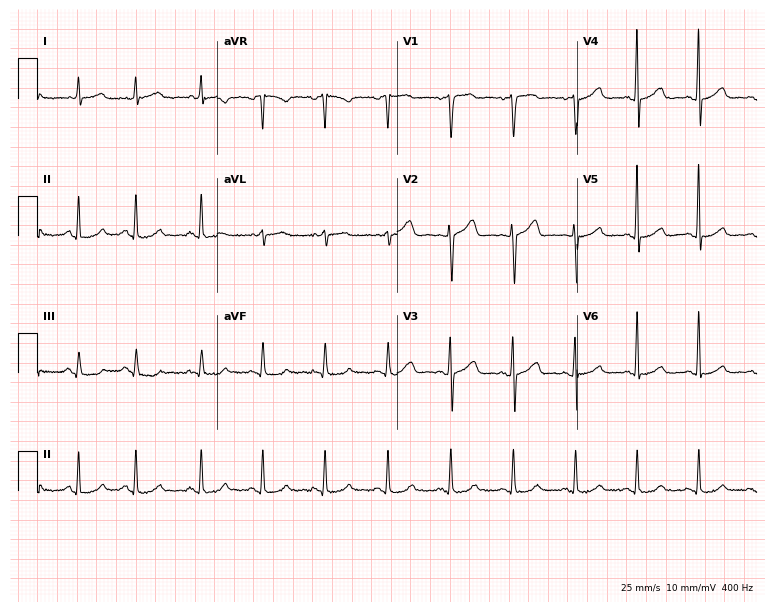
Standard 12-lead ECG recorded from a 44-year-old female patient. None of these six findings is recorded: first-degree AV block, right bundle branch block, left bundle branch block, sinus bradycardia, atrial fibrillation, sinus tachycardia. Only these six findings were labelled.